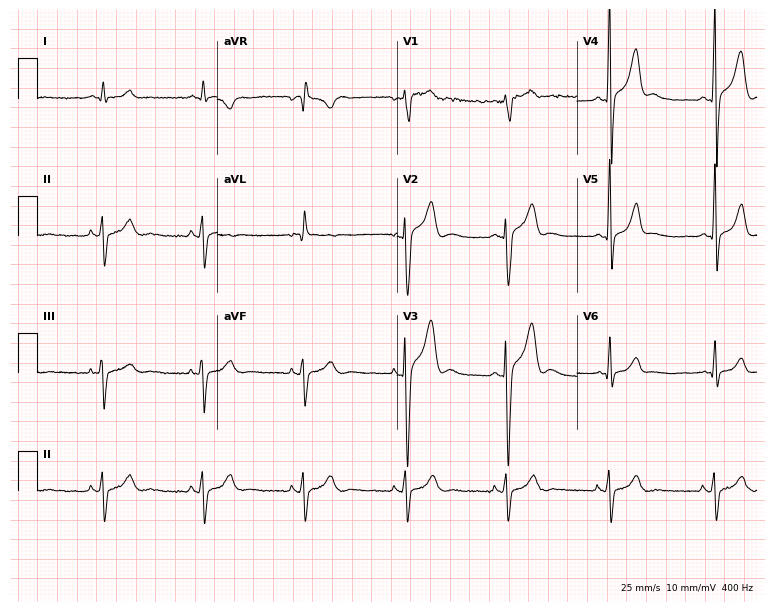
12-lead ECG from a male, 22 years old. Recorded interpretation: within normal limits.